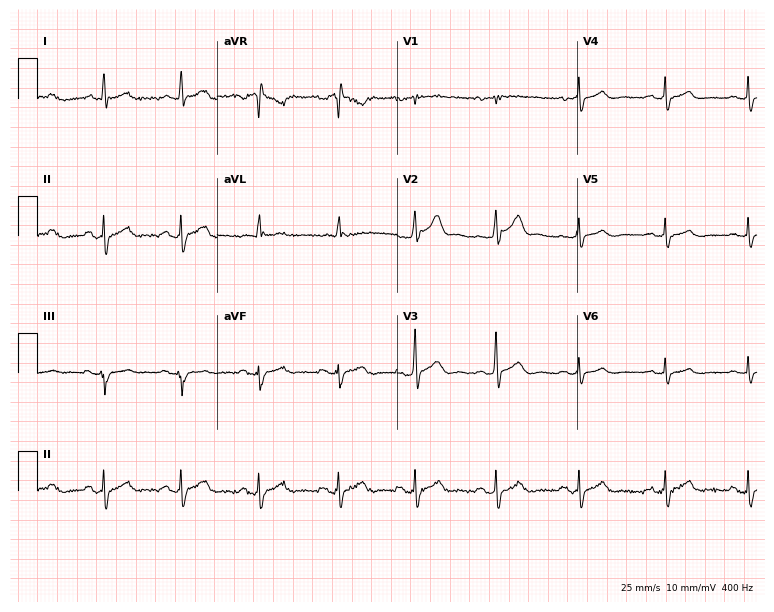
12-lead ECG (7.3-second recording at 400 Hz) from a male patient, 30 years old. Labelled as a normal ECG.